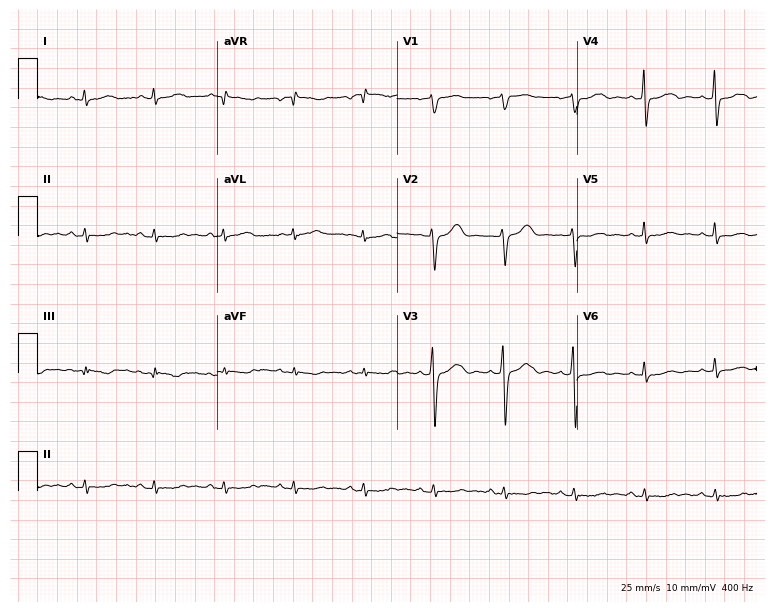
12-lead ECG from a 45-year-old female patient. Screened for six findings — first-degree AV block, right bundle branch block, left bundle branch block, sinus bradycardia, atrial fibrillation, sinus tachycardia — none is recorded.